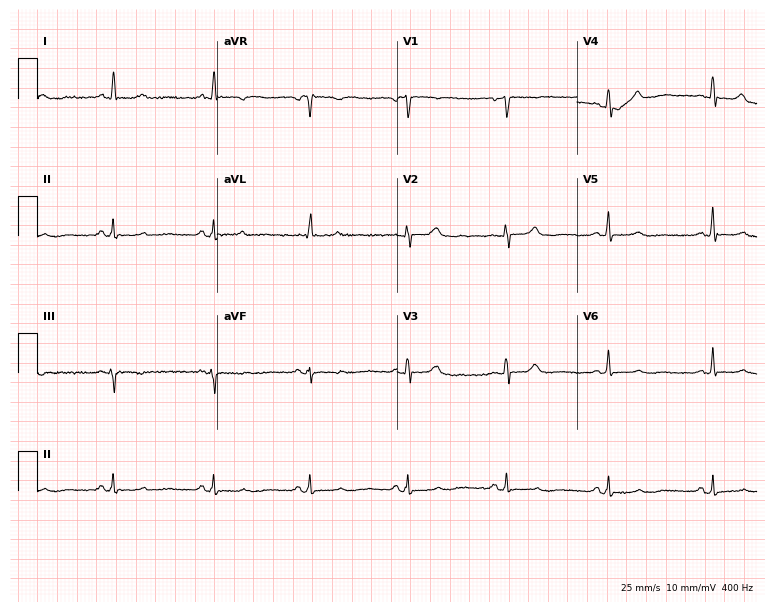
Standard 12-lead ECG recorded from a female patient, 62 years old. None of these six findings is recorded: first-degree AV block, right bundle branch block, left bundle branch block, sinus bradycardia, atrial fibrillation, sinus tachycardia.